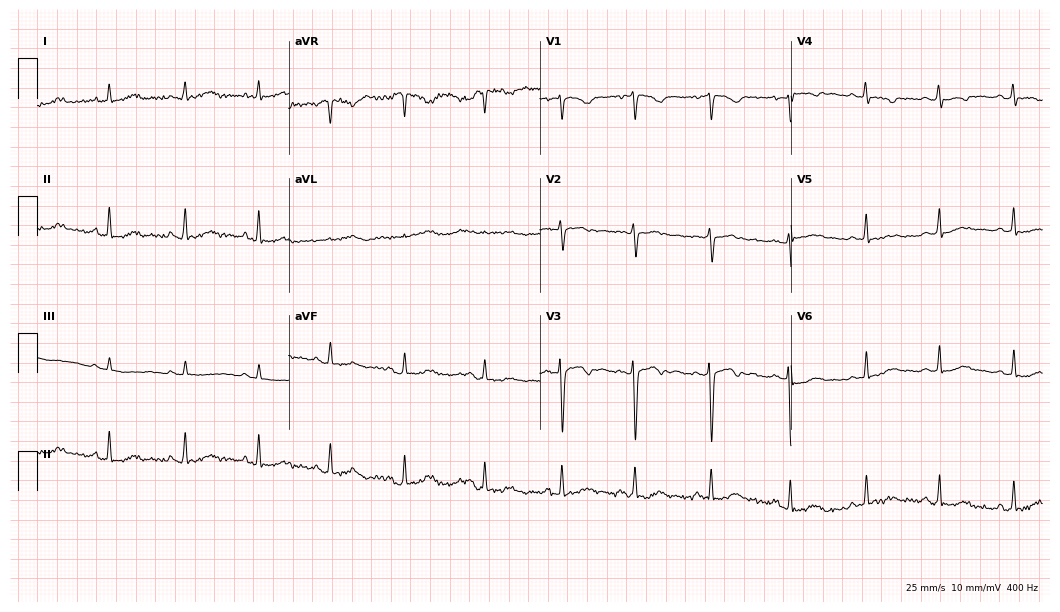
ECG (10.2-second recording at 400 Hz) — a female, 22 years old. Labelled as a normal ECG.